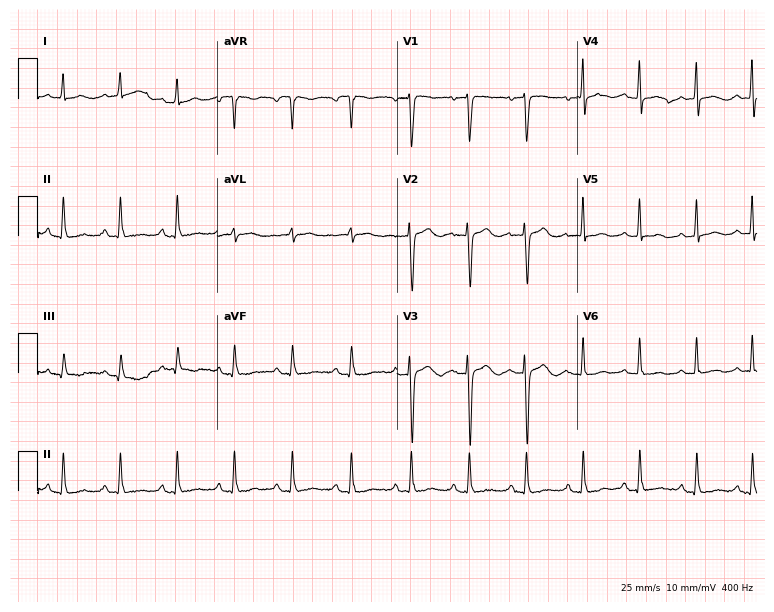
Resting 12-lead electrocardiogram (7.3-second recording at 400 Hz). Patient: a 31-year-old female. The tracing shows sinus tachycardia (a sinus rate of 100 beats per minute or more).